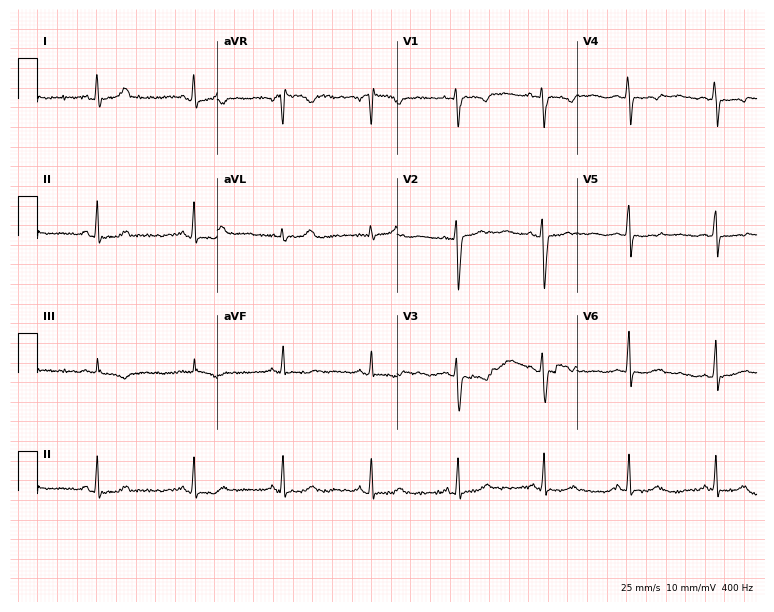
12-lead ECG from a 42-year-old woman (7.3-second recording at 400 Hz). No first-degree AV block, right bundle branch block (RBBB), left bundle branch block (LBBB), sinus bradycardia, atrial fibrillation (AF) or sinus tachycardia recorded for this tracing.